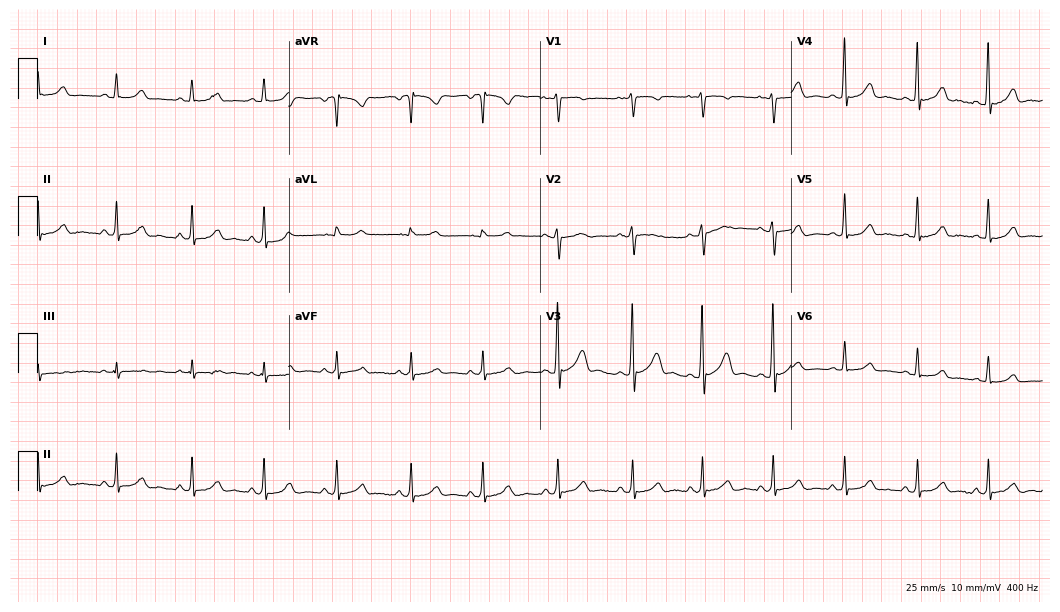
ECG (10.2-second recording at 400 Hz) — a 32-year-old female. Labelled as a normal ECG.